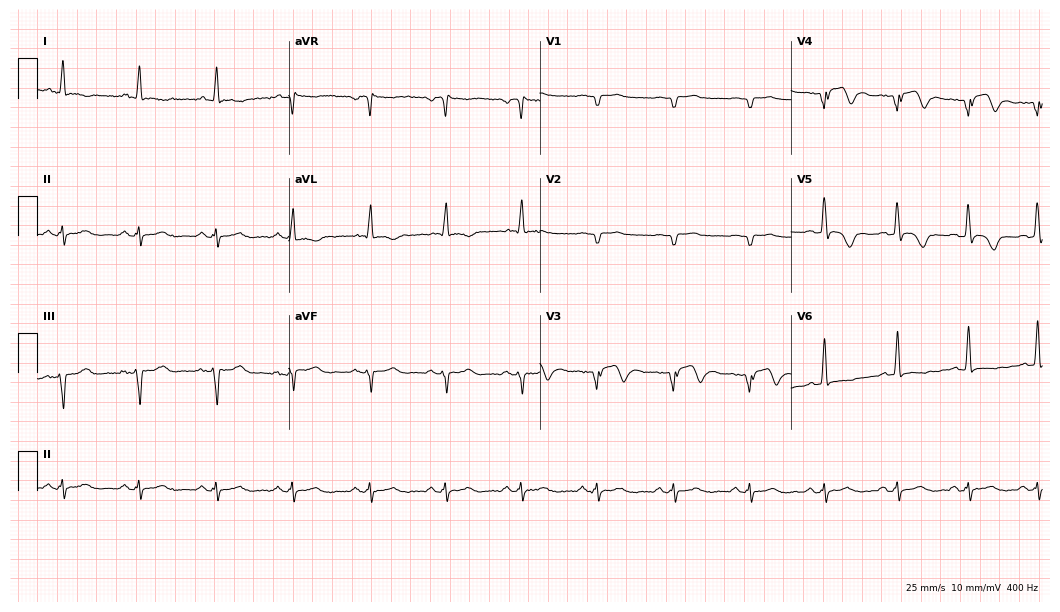
12-lead ECG from a 57-year-old male (10.2-second recording at 400 Hz). No first-degree AV block, right bundle branch block, left bundle branch block, sinus bradycardia, atrial fibrillation or sinus tachycardia recorded for this tracing.